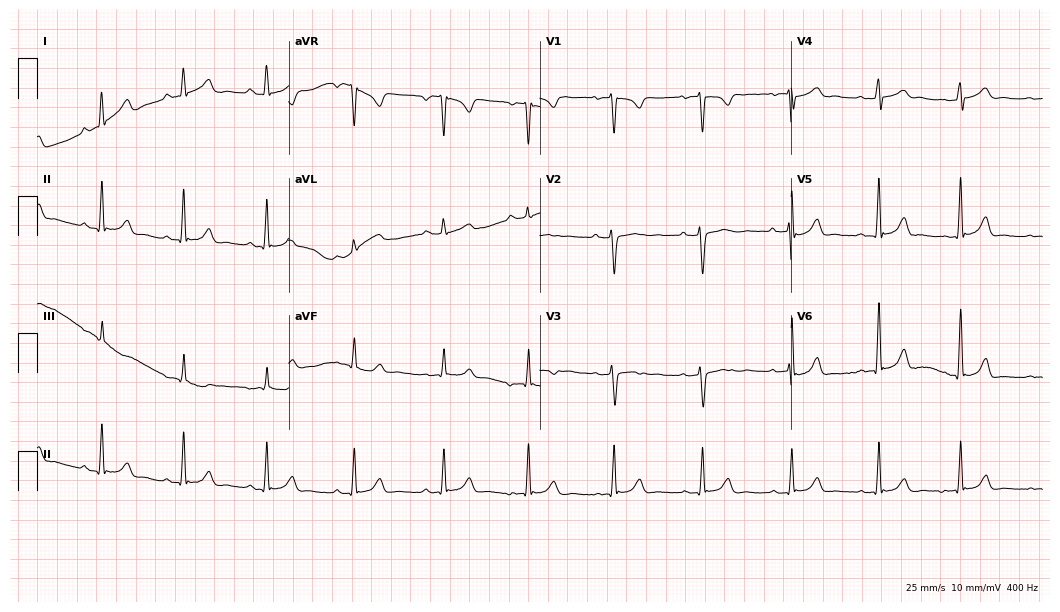
Resting 12-lead electrocardiogram (10.2-second recording at 400 Hz). Patient: a female, 25 years old. Read as a normal ECG.